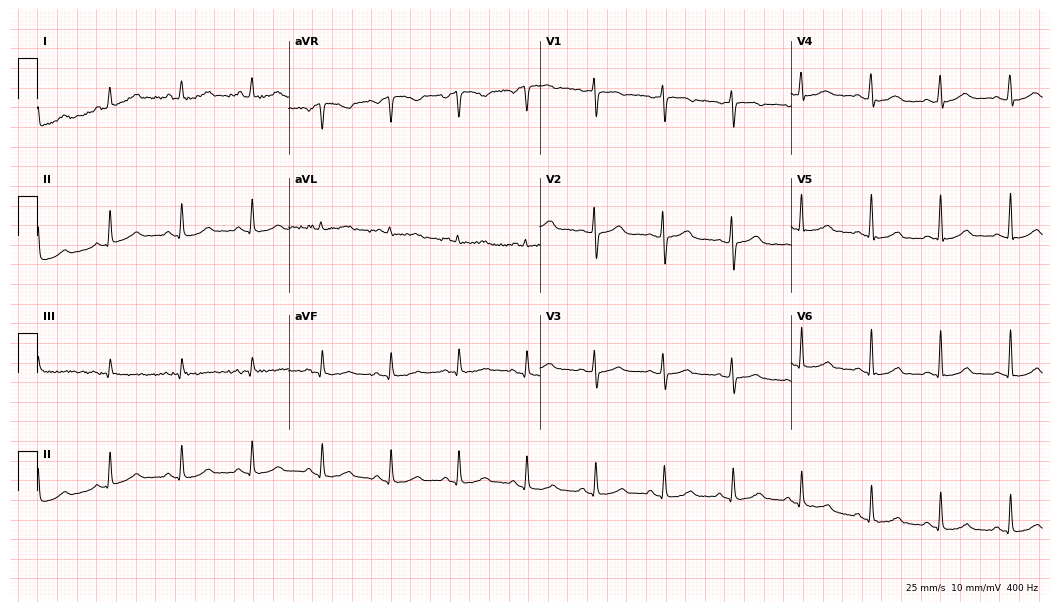
ECG (10.2-second recording at 400 Hz) — a woman, 53 years old. Labelled as a normal ECG.